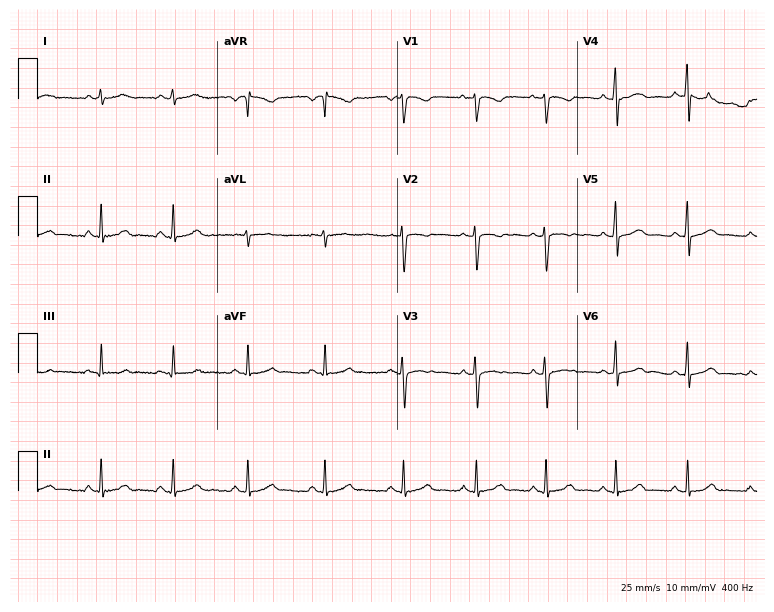
ECG — a female, 31 years old. Screened for six findings — first-degree AV block, right bundle branch block, left bundle branch block, sinus bradycardia, atrial fibrillation, sinus tachycardia — none is recorded.